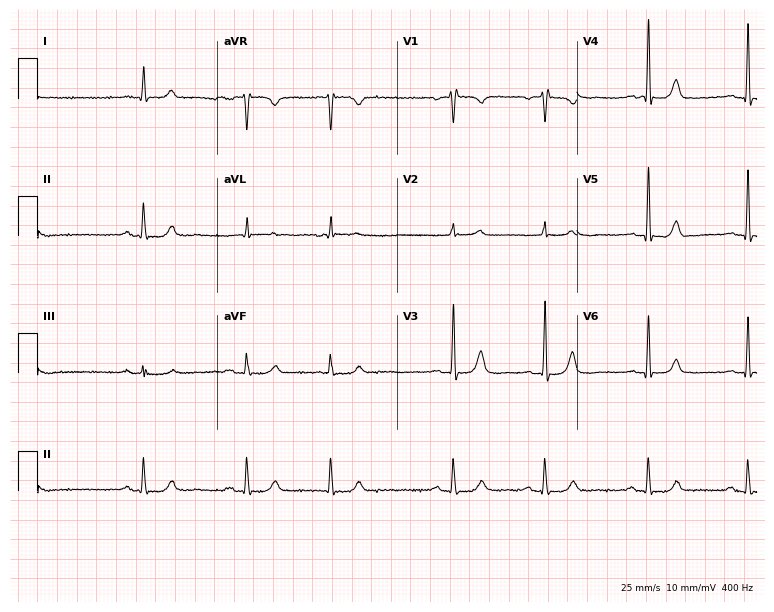
Electrocardiogram (7.3-second recording at 400 Hz), a 78-year-old female. Of the six screened findings (first-degree AV block, right bundle branch block, left bundle branch block, sinus bradycardia, atrial fibrillation, sinus tachycardia), none is recorded.